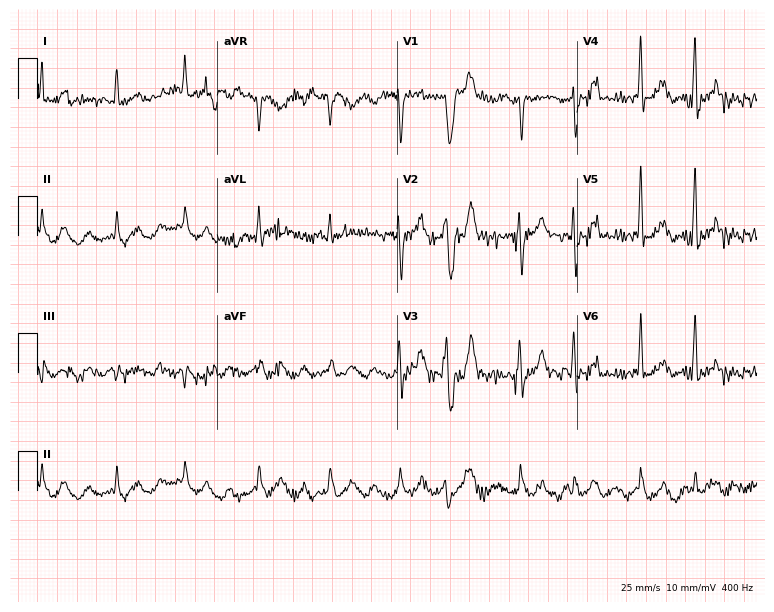
12-lead ECG from a male patient, 71 years old. Screened for six findings — first-degree AV block, right bundle branch block, left bundle branch block, sinus bradycardia, atrial fibrillation, sinus tachycardia — none is recorded. Other findings, if any, are not listed.